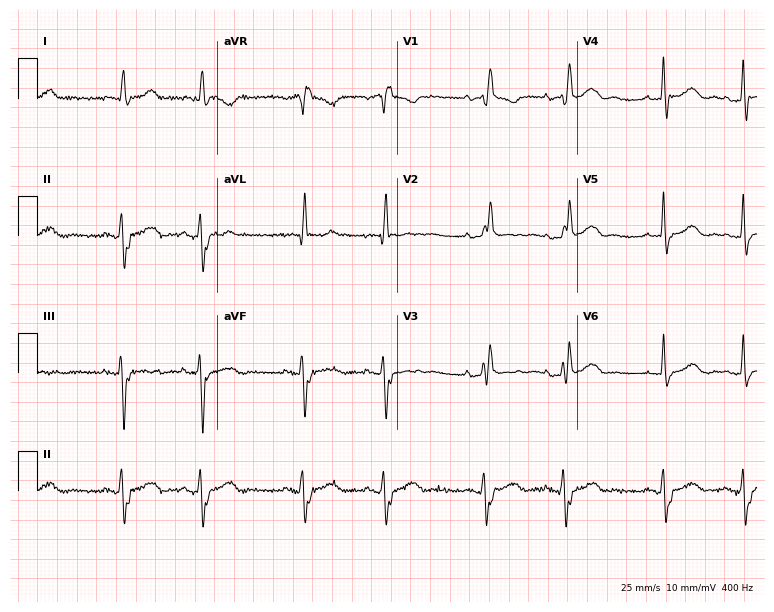
12-lead ECG from an 84-year-old woman. Findings include right bundle branch block.